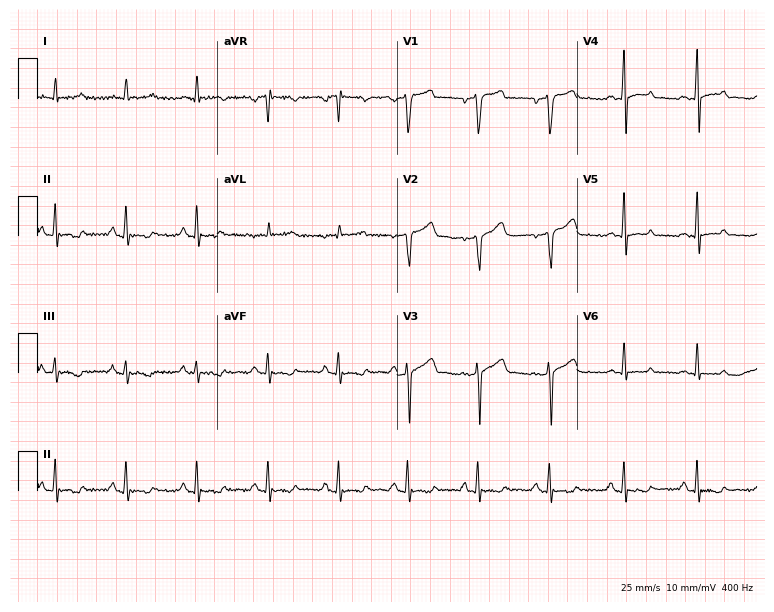
Standard 12-lead ECG recorded from a male, 42 years old. None of these six findings is recorded: first-degree AV block, right bundle branch block (RBBB), left bundle branch block (LBBB), sinus bradycardia, atrial fibrillation (AF), sinus tachycardia.